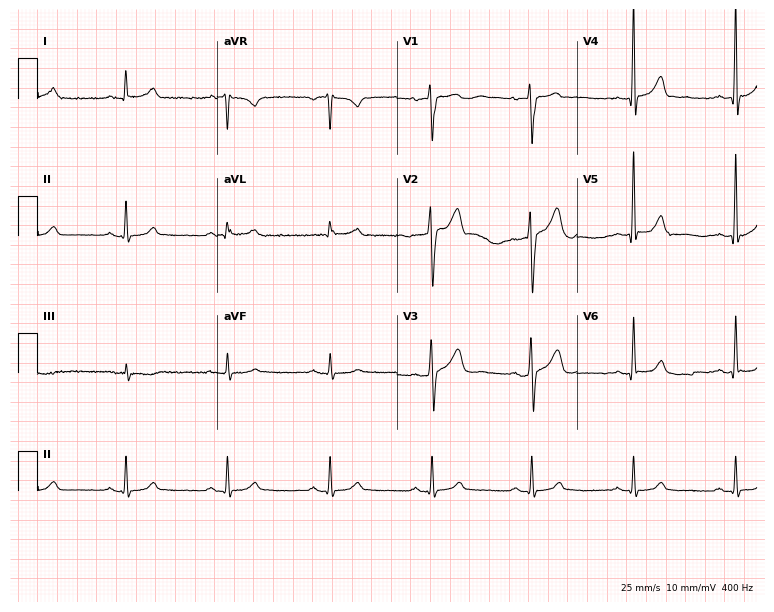
12-lead ECG (7.3-second recording at 400 Hz) from a man, 53 years old. Screened for six findings — first-degree AV block, right bundle branch block, left bundle branch block, sinus bradycardia, atrial fibrillation, sinus tachycardia — none is recorded. Only these six findings were labelled.